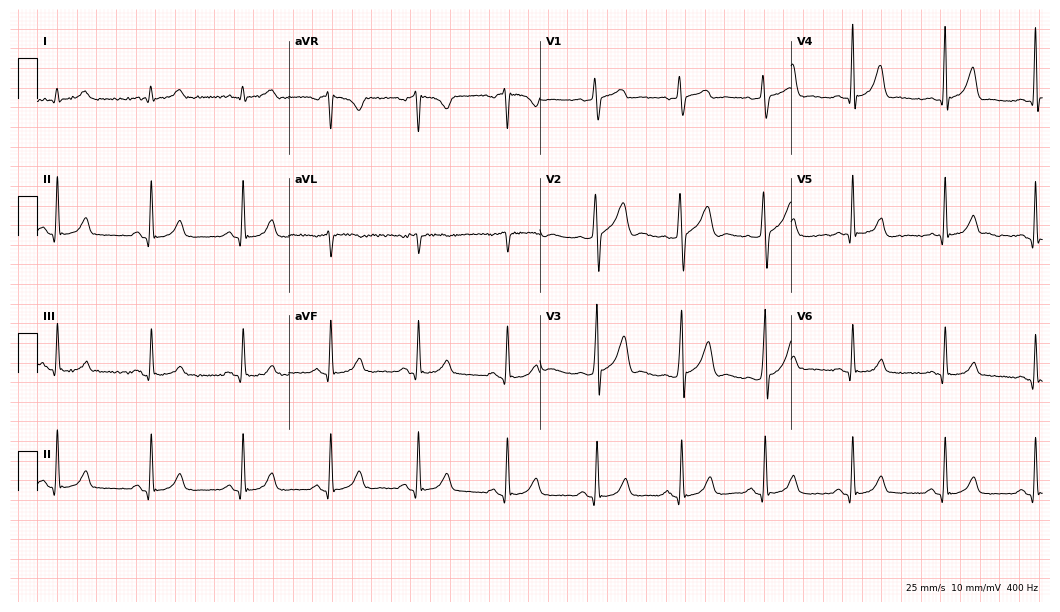
ECG — a 47-year-old male. Labelled as a normal ECG.